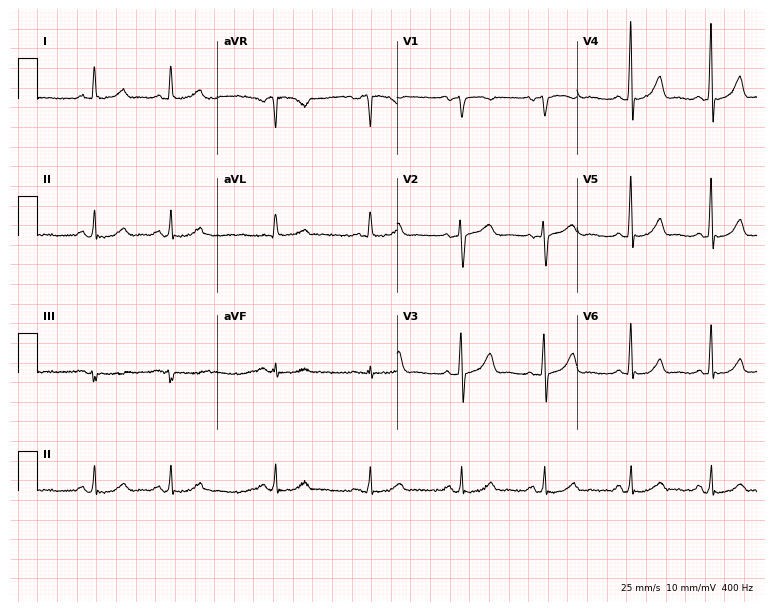
12-lead ECG from a woman, 64 years old. Screened for six findings — first-degree AV block, right bundle branch block, left bundle branch block, sinus bradycardia, atrial fibrillation, sinus tachycardia — none is recorded. Other findings, if any, are not listed.